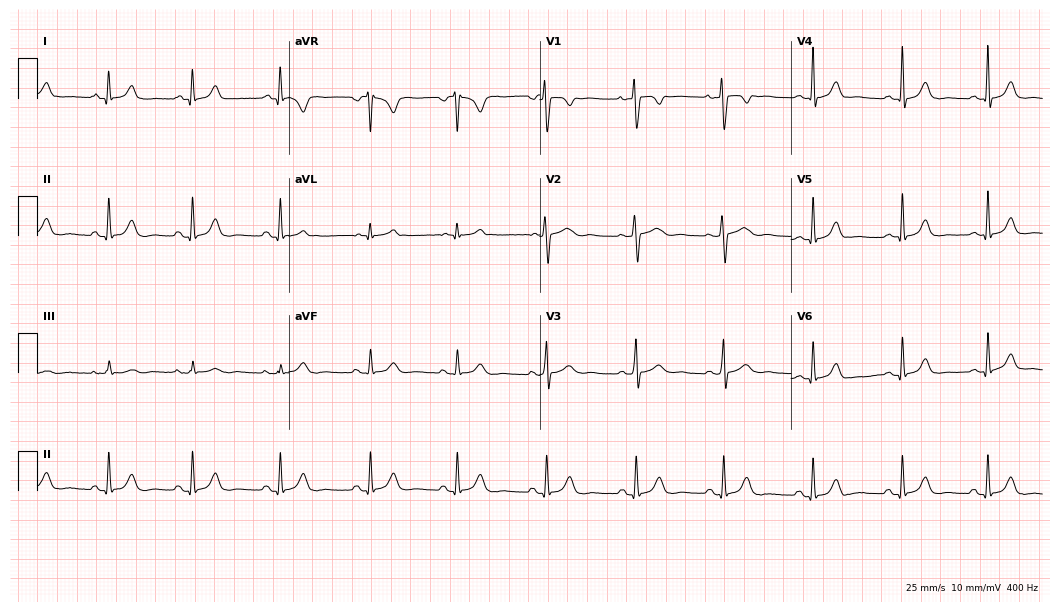
12-lead ECG from a woman, 28 years old. Screened for six findings — first-degree AV block, right bundle branch block, left bundle branch block, sinus bradycardia, atrial fibrillation, sinus tachycardia — none is recorded.